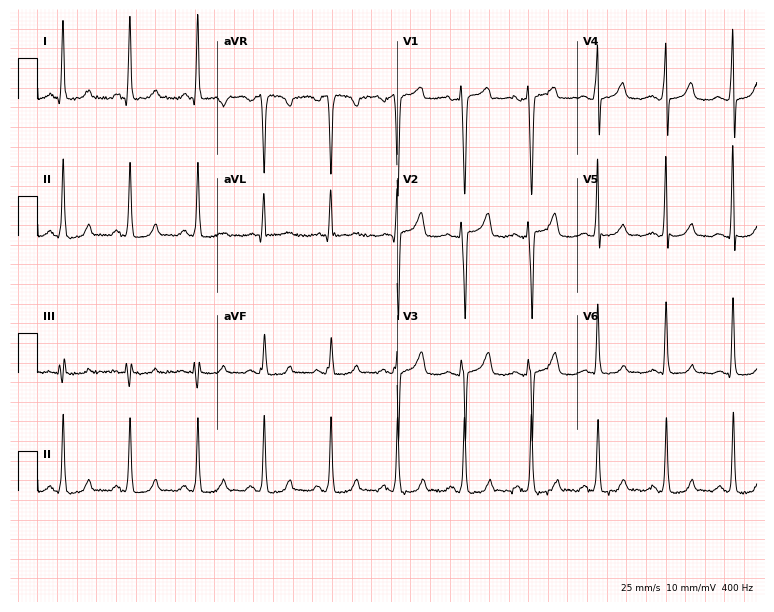
12-lead ECG (7.3-second recording at 400 Hz) from a 30-year-old woman. Labelled as a normal ECG.